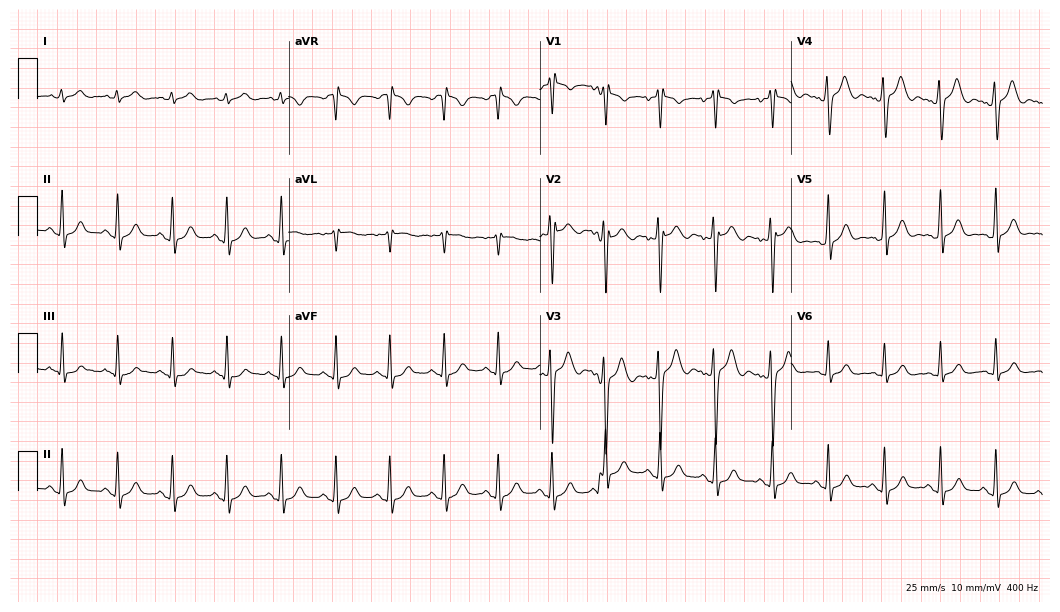
Resting 12-lead electrocardiogram. Patient: a man, 25 years old. None of these six findings is recorded: first-degree AV block, right bundle branch block (RBBB), left bundle branch block (LBBB), sinus bradycardia, atrial fibrillation (AF), sinus tachycardia. Only these six findings were labelled.